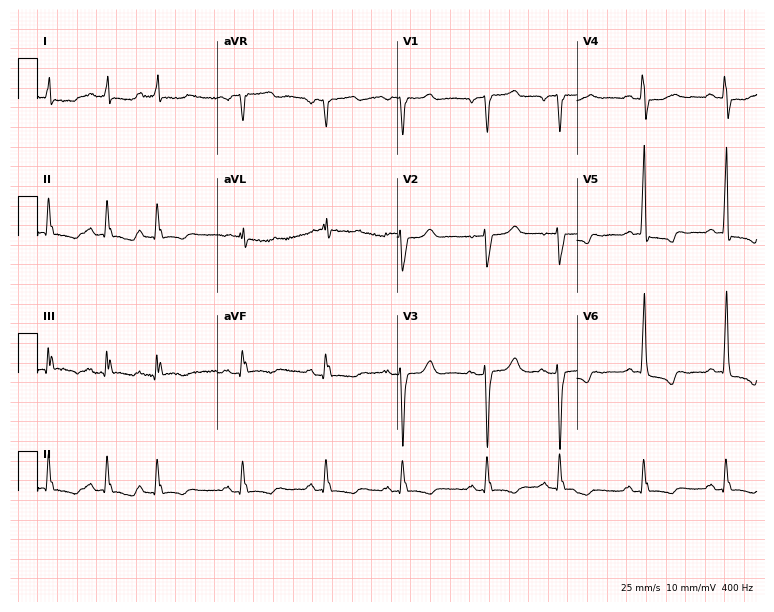
ECG (7.3-second recording at 400 Hz) — a woman, 79 years old. Screened for six findings — first-degree AV block, right bundle branch block, left bundle branch block, sinus bradycardia, atrial fibrillation, sinus tachycardia — none is recorded. Only these six findings were labelled.